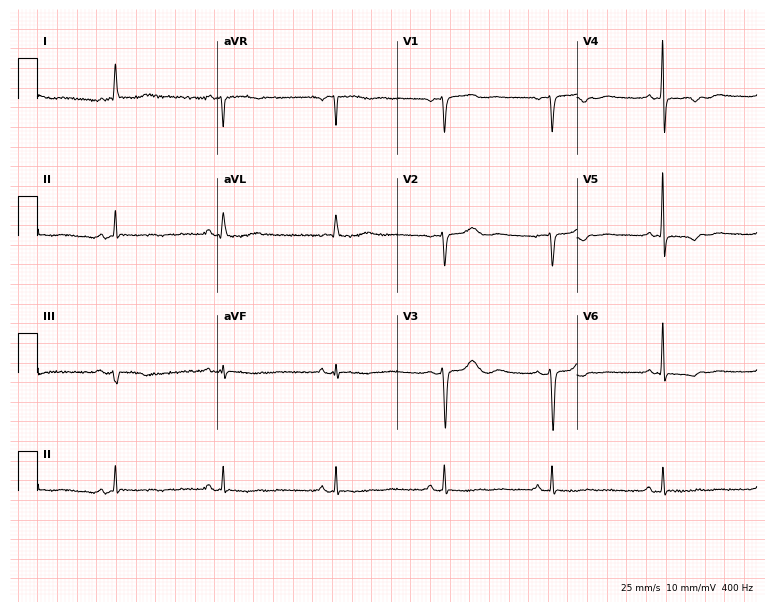
ECG (7.3-second recording at 400 Hz) — a woman, 83 years old. Screened for six findings — first-degree AV block, right bundle branch block, left bundle branch block, sinus bradycardia, atrial fibrillation, sinus tachycardia — none is recorded.